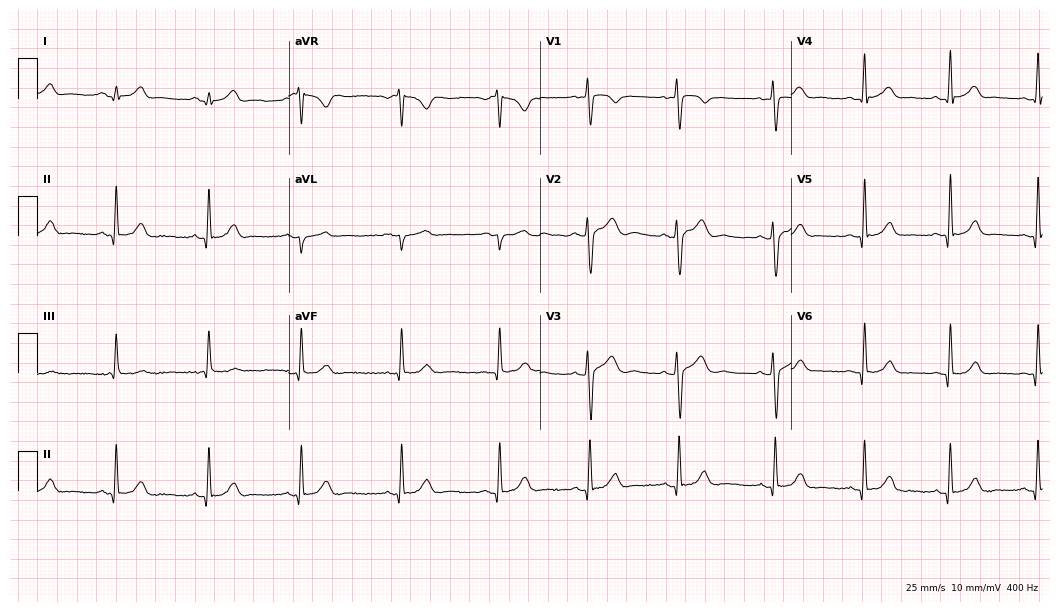
ECG (10.2-second recording at 400 Hz) — a male patient, 22 years old. Labelled as a normal ECG.